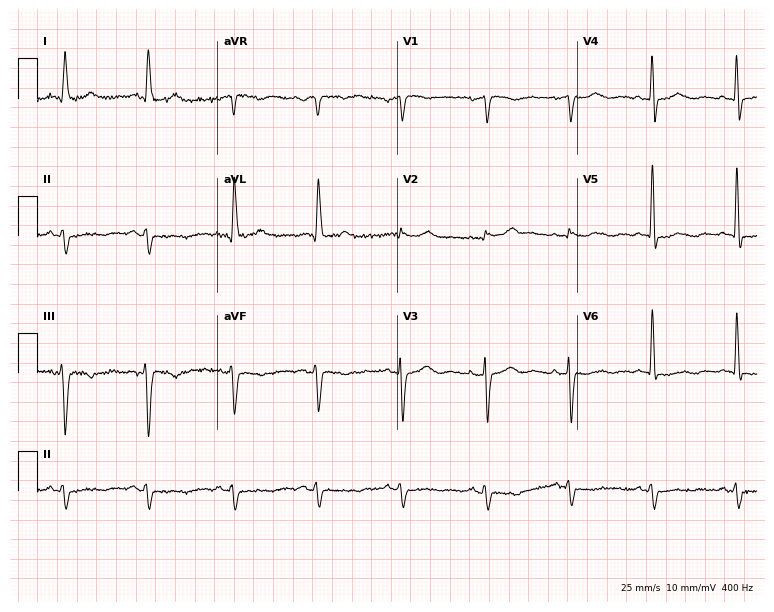
ECG — a 79-year-old woman. Screened for six findings — first-degree AV block, right bundle branch block, left bundle branch block, sinus bradycardia, atrial fibrillation, sinus tachycardia — none is recorded.